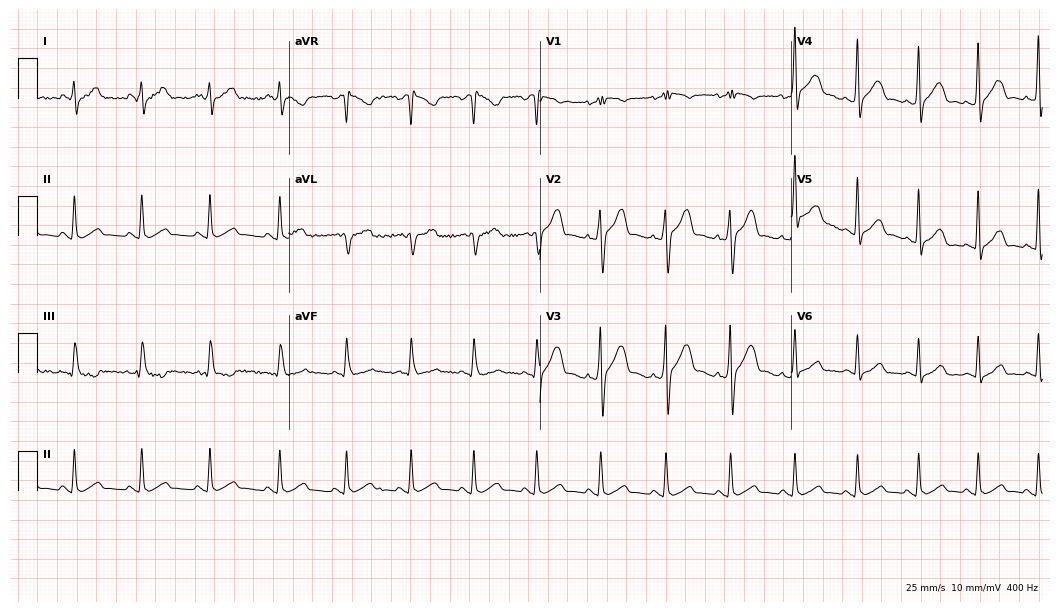
Standard 12-lead ECG recorded from a 30-year-old male patient (10.2-second recording at 400 Hz). Read as a normal ECG.